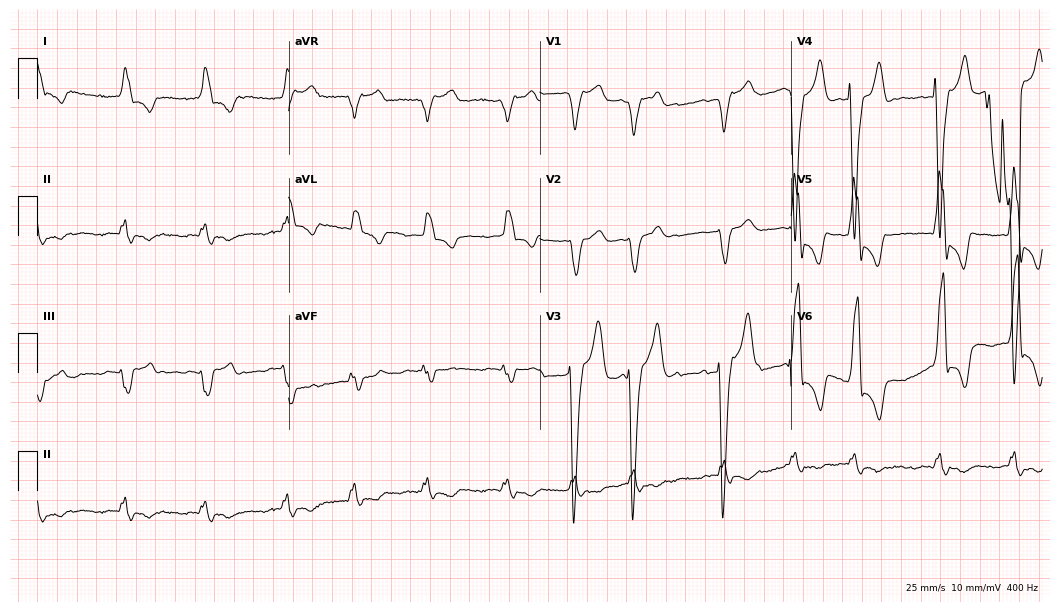
Resting 12-lead electrocardiogram (10.2-second recording at 400 Hz). Patient: an 80-year-old female. The tracing shows left bundle branch block, atrial fibrillation.